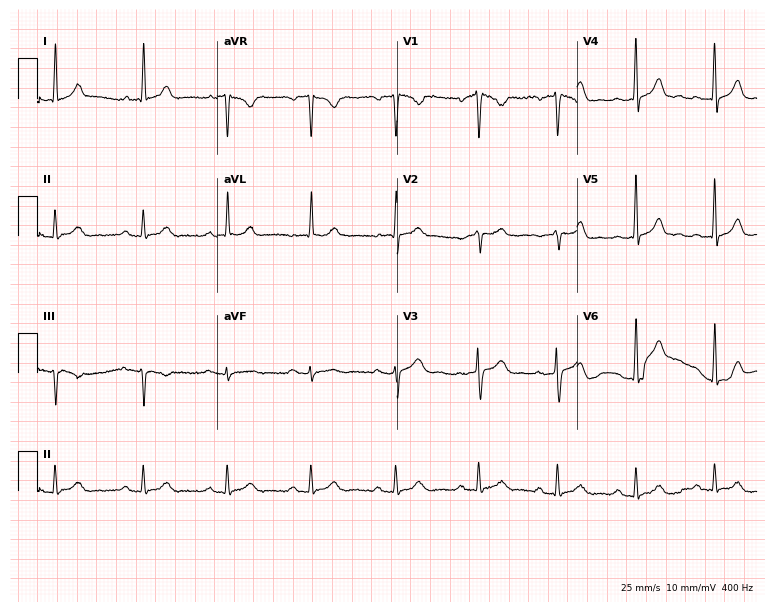
12-lead ECG (7.3-second recording at 400 Hz) from a 54-year-old male. Labelled as a normal ECG.